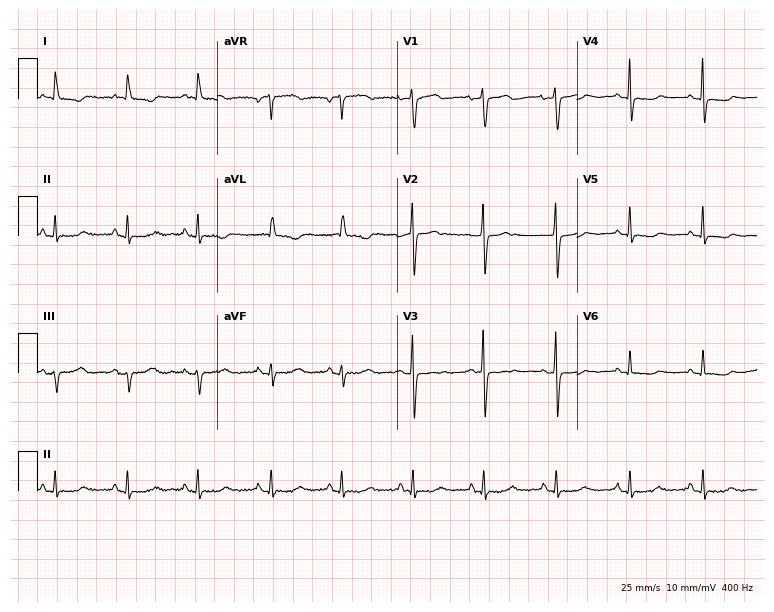
Standard 12-lead ECG recorded from a 67-year-old female. None of these six findings is recorded: first-degree AV block, right bundle branch block (RBBB), left bundle branch block (LBBB), sinus bradycardia, atrial fibrillation (AF), sinus tachycardia. Findings outside these six are not listed.